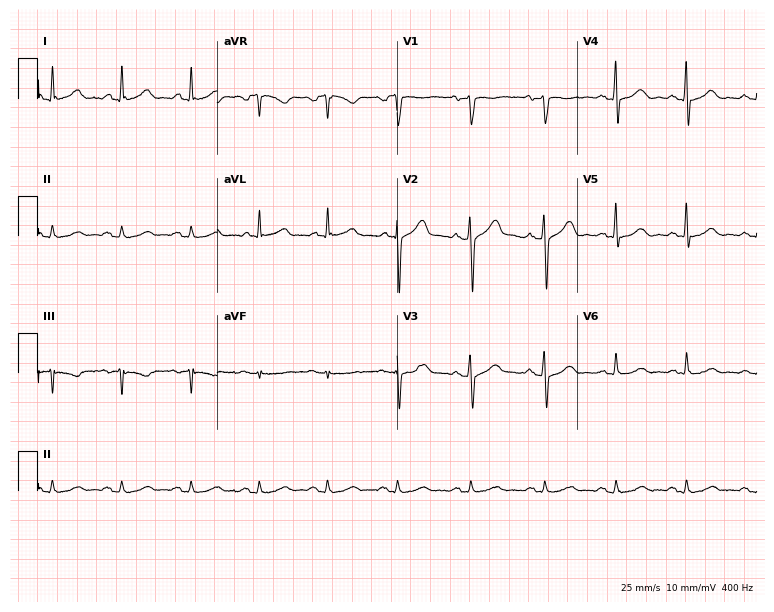
Resting 12-lead electrocardiogram. Patient: a 70-year-old male. Read as a normal ECG.